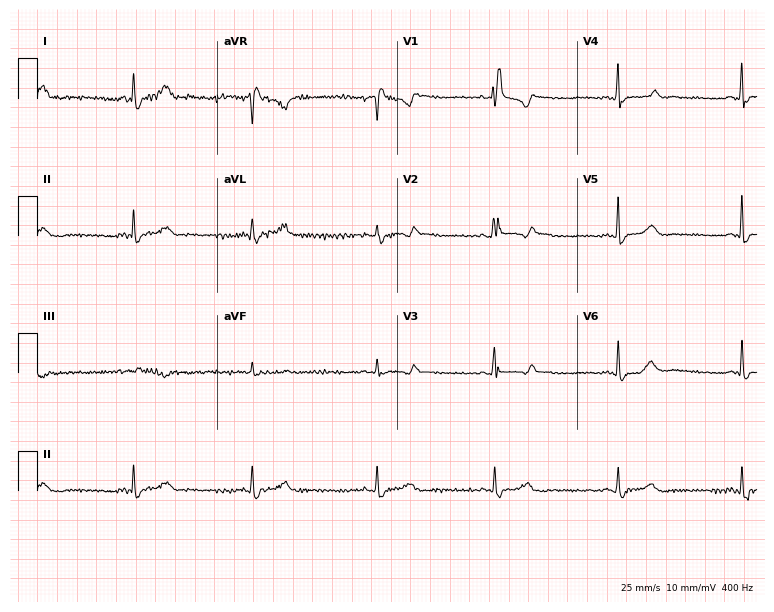
ECG — a female, 40 years old. Findings include right bundle branch block.